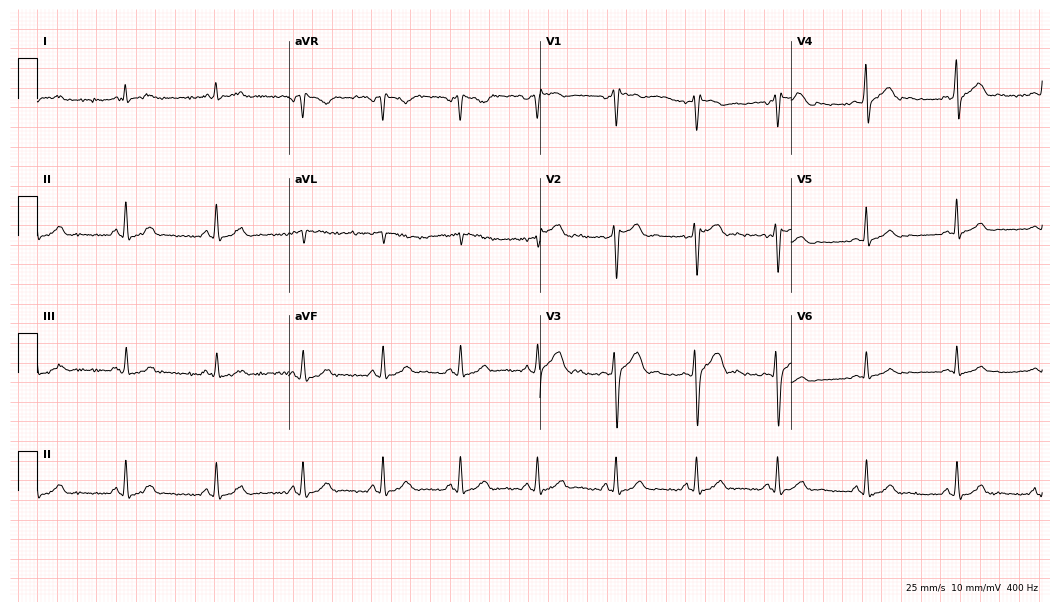
12-lead ECG from a man, 38 years old. Recorded interpretation: within normal limits.